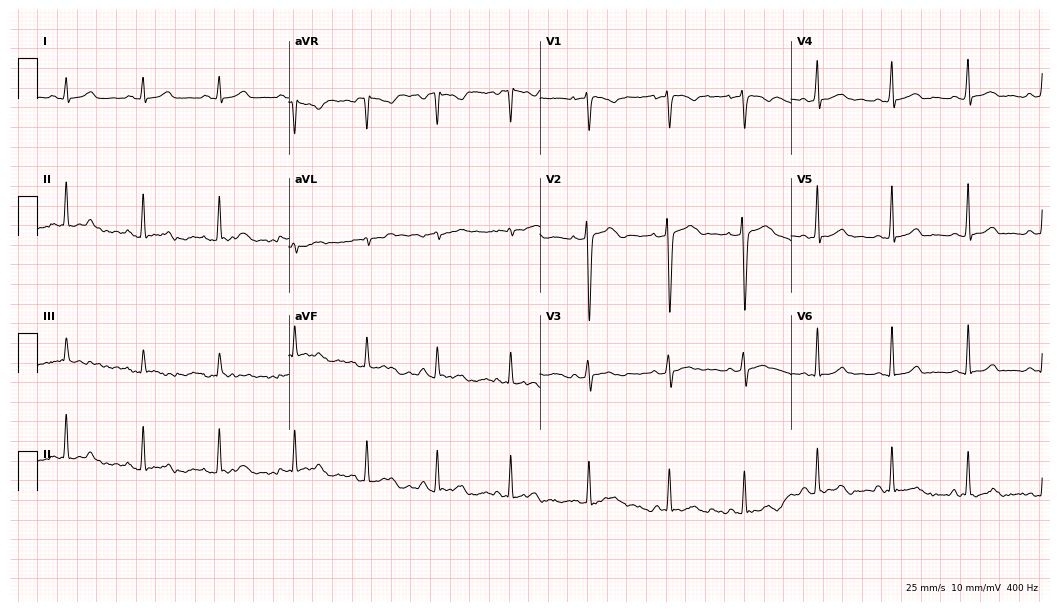
ECG (10.2-second recording at 400 Hz) — a 25-year-old female. Labelled as a normal ECG.